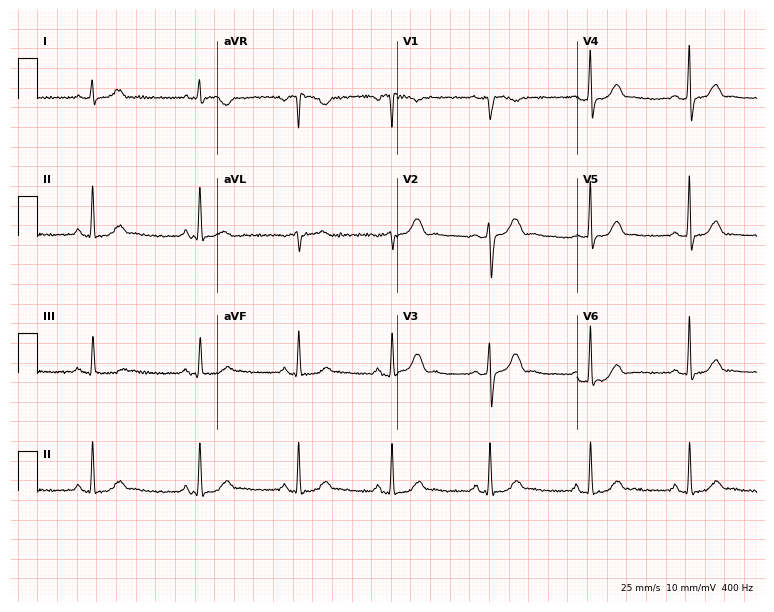
Resting 12-lead electrocardiogram. Patient: a female, 38 years old. None of these six findings is recorded: first-degree AV block, right bundle branch block, left bundle branch block, sinus bradycardia, atrial fibrillation, sinus tachycardia. Other findings, if any, are not listed.